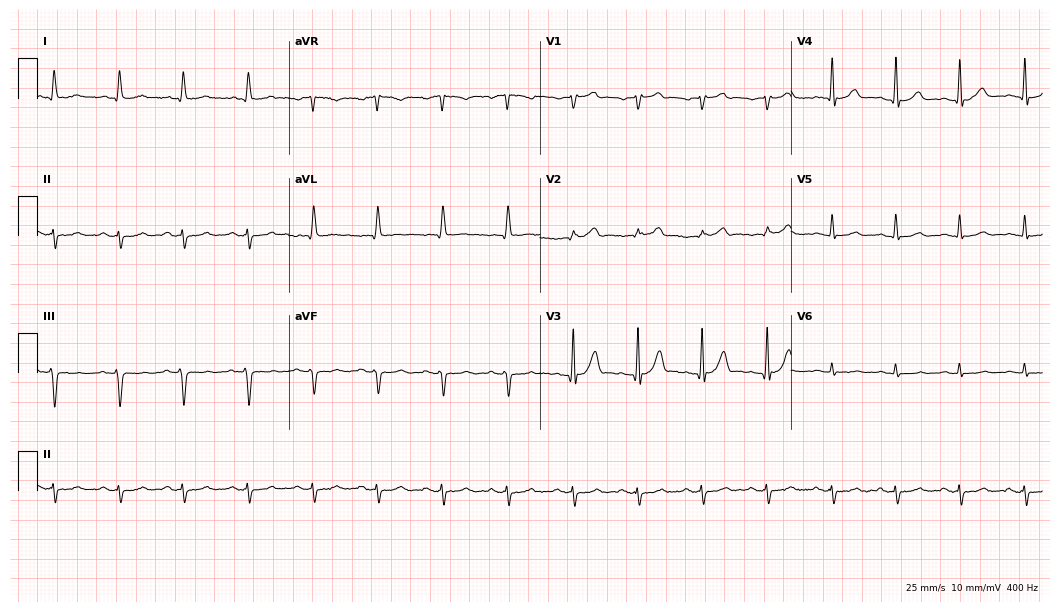
ECG (10.2-second recording at 400 Hz) — a 66-year-old male patient. Screened for six findings — first-degree AV block, right bundle branch block, left bundle branch block, sinus bradycardia, atrial fibrillation, sinus tachycardia — none is recorded. Findings outside these six are not listed.